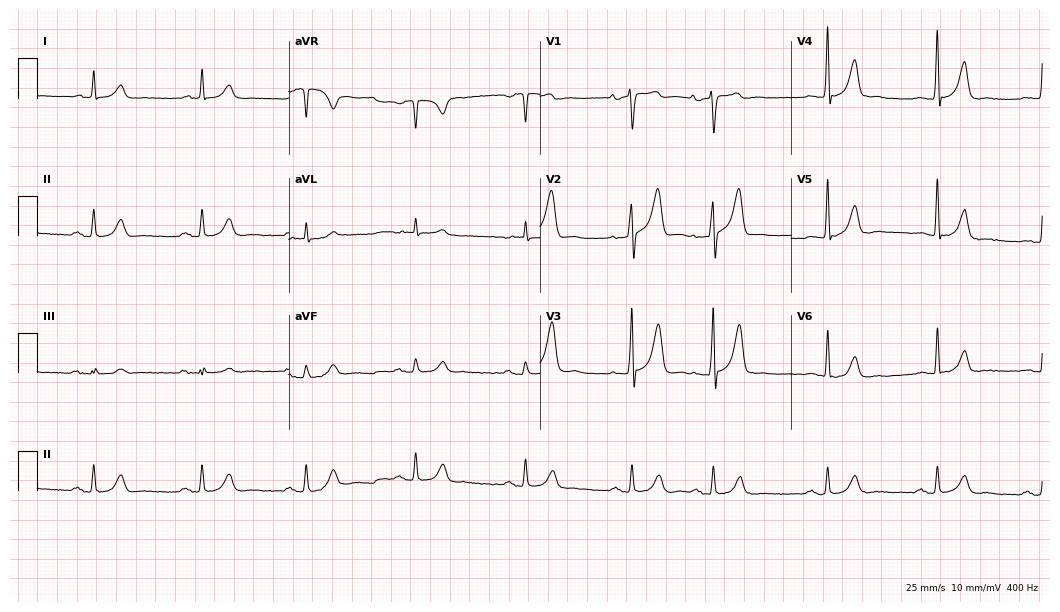
Standard 12-lead ECG recorded from a man, 69 years old (10.2-second recording at 400 Hz). None of these six findings is recorded: first-degree AV block, right bundle branch block (RBBB), left bundle branch block (LBBB), sinus bradycardia, atrial fibrillation (AF), sinus tachycardia. Findings outside these six are not listed.